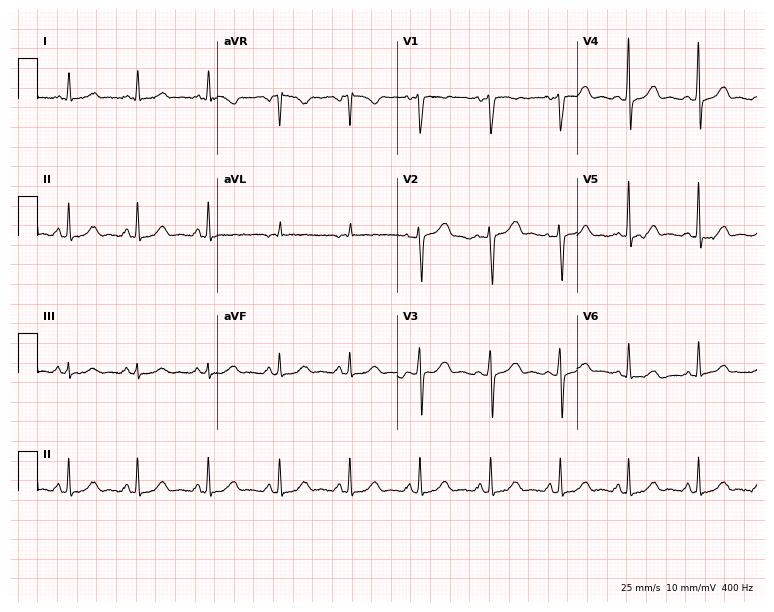
Electrocardiogram, a 44-year-old female. Overall reading on record: normal ECG.